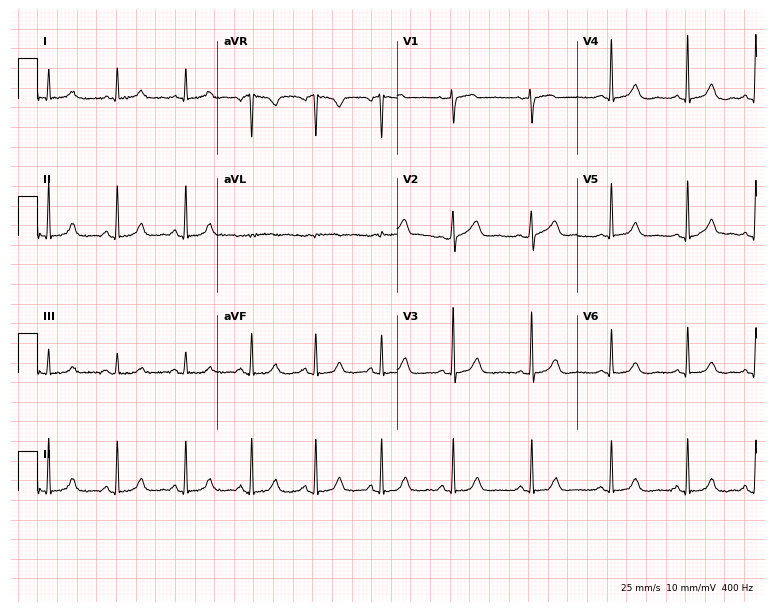
Standard 12-lead ECG recorded from a female patient, 61 years old. Read as a normal ECG.